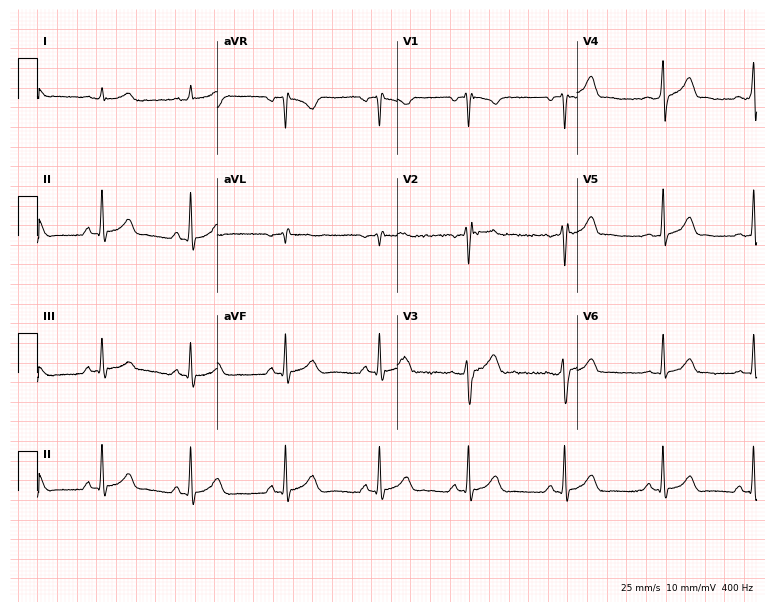
Standard 12-lead ECG recorded from a 32-year-old male (7.3-second recording at 400 Hz). None of these six findings is recorded: first-degree AV block, right bundle branch block (RBBB), left bundle branch block (LBBB), sinus bradycardia, atrial fibrillation (AF), sinus tachycardia. Only these six findings were labelled.